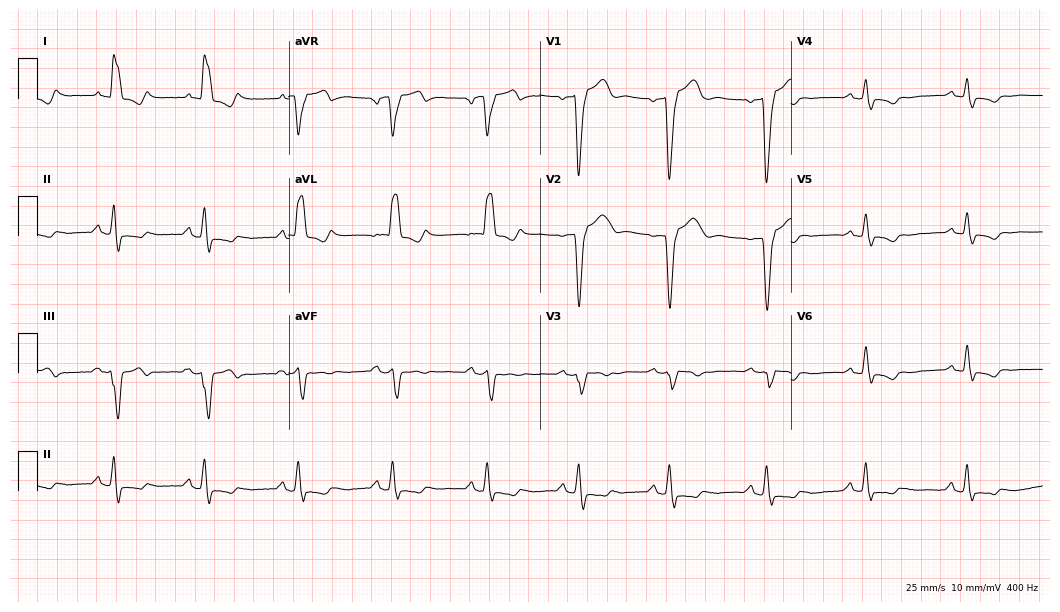
Resting 12-lead electrocardiogram. Patient: a woman, 62 years old. The tracing shows left bundle branch block.